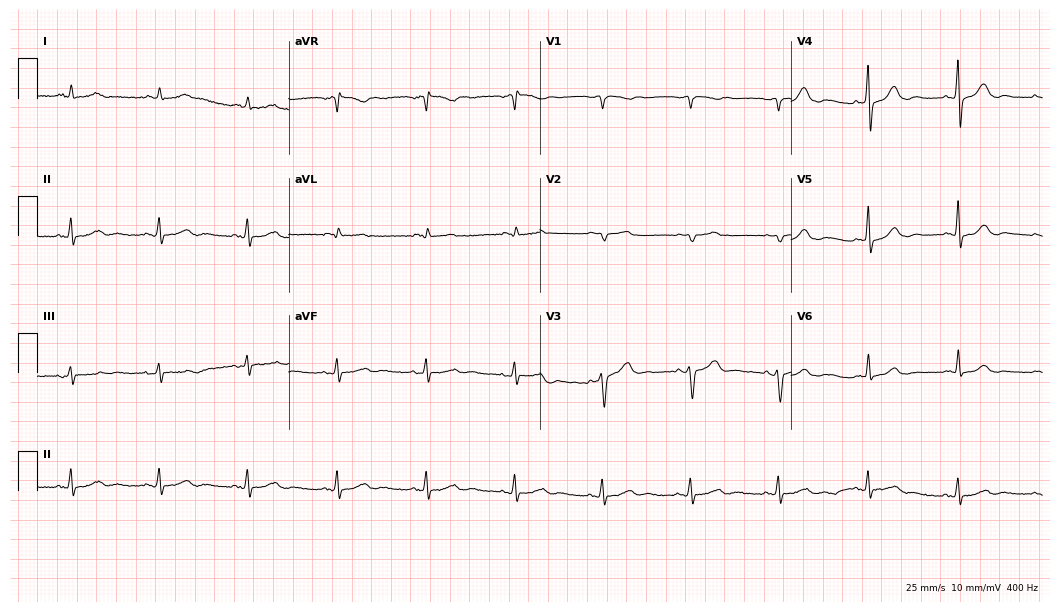
12-lead ECG from a 66-year-old male patient. Labelled as a normal ECG.